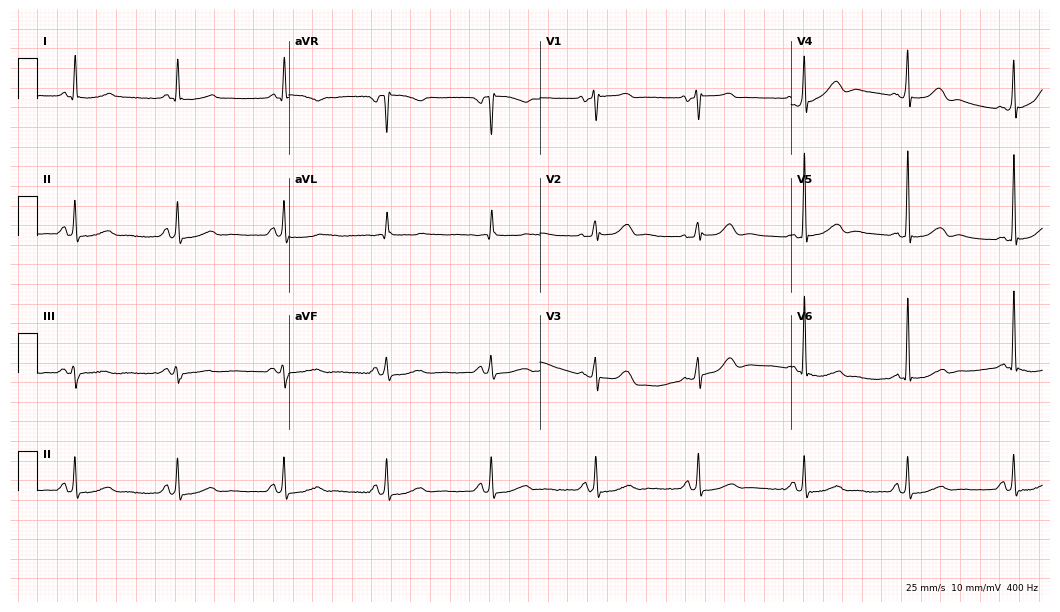
12-lead ECG (10.2-second recording at 400 Hz) from a 79-year-old female. Screened for six findings — first-degree AV block, right bundle branch block, left bundle branch block, sinus bradycardia, atrial fibrillation, sinus tachycardia — none is recorded. Findings outside these six are not listed.